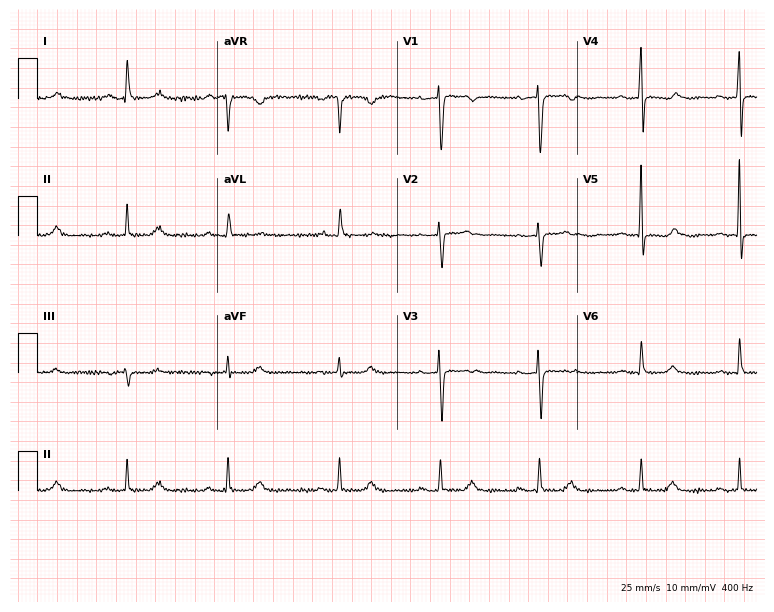
Electrocardiogram, a 59-year-old female. Interpretation includes first-degree AV block, sinus bradycardia (a sinus rate of 50 beats per minute or less).